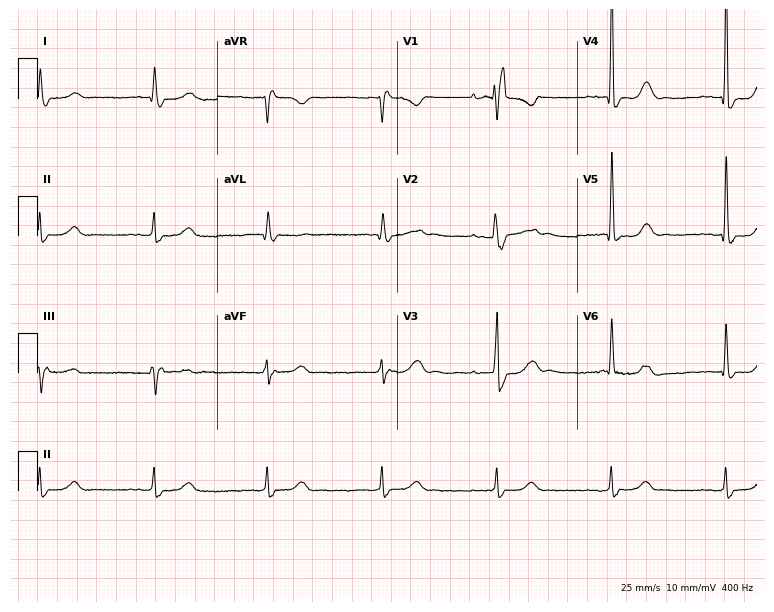
12-lead ECG from a man, 72 years old. Findings include first-degree AV block, right bundle branch block.